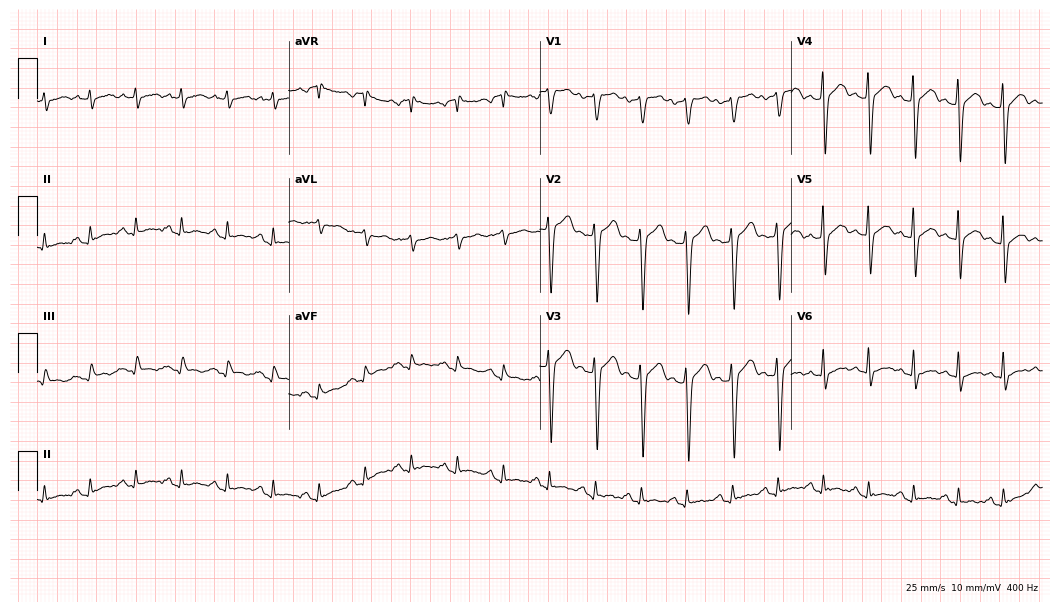
Electrocardiogram (10.2-second recording at 400 Hz), a 44-year-old male patient. Interpretation includes sinus tachycardia (a sinus rate of 100 beats per minute or more).